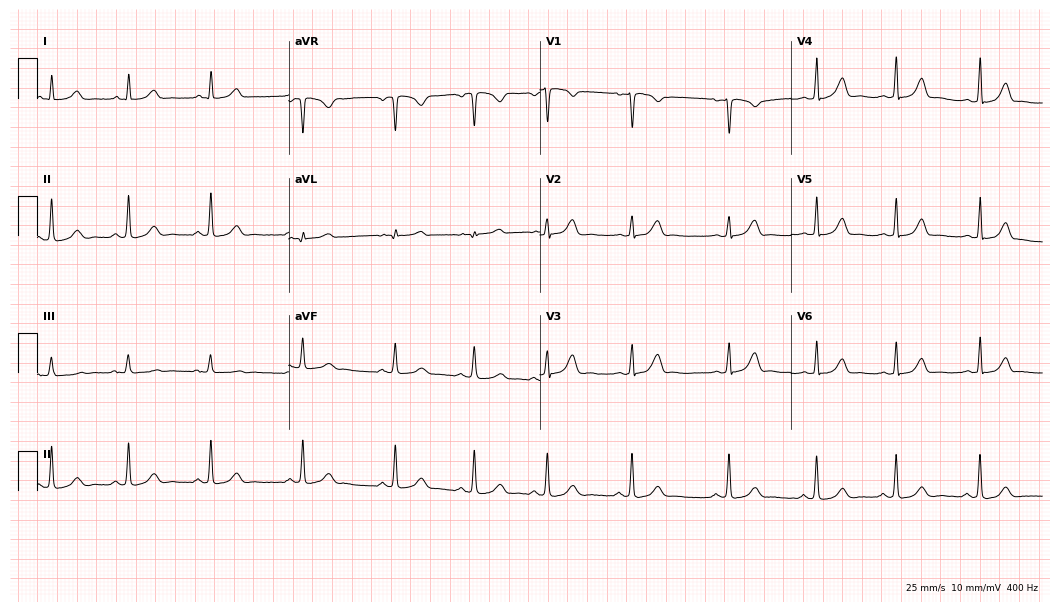
12-lead ECG from a 26-year-old woman. Recorded interpretation: within normal limits.